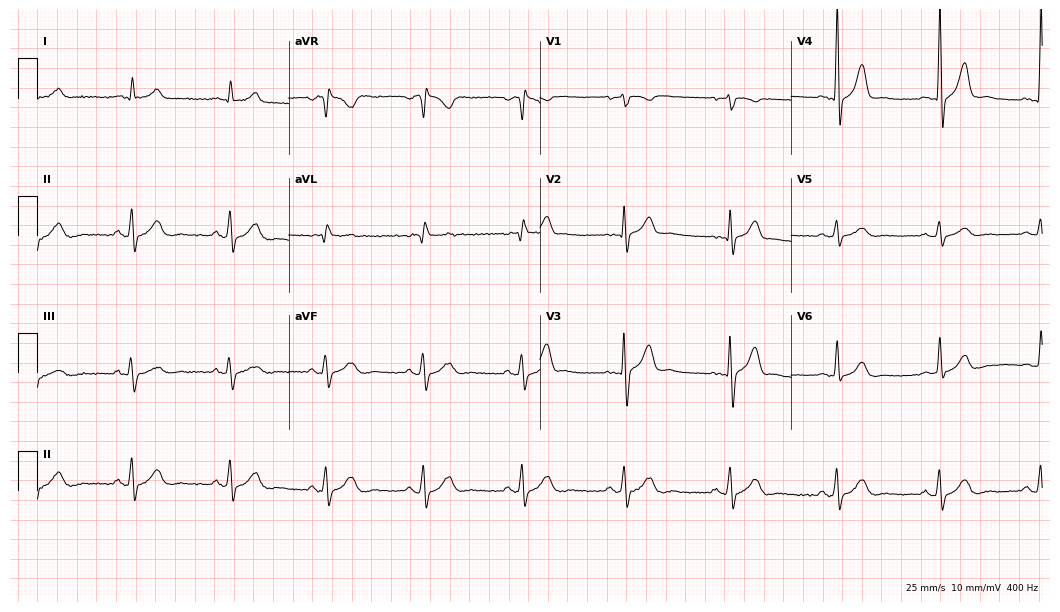
Resting 12-lead electrocardiogram (10.2-second recording at 400 Hz). Patient: a male, 54 years old. None of these six findings is recorded: first-degree AV block, right bundle branch block, left bundle branch block, sinus bradycardia, atrial fibrillation, sinus tachycardia.